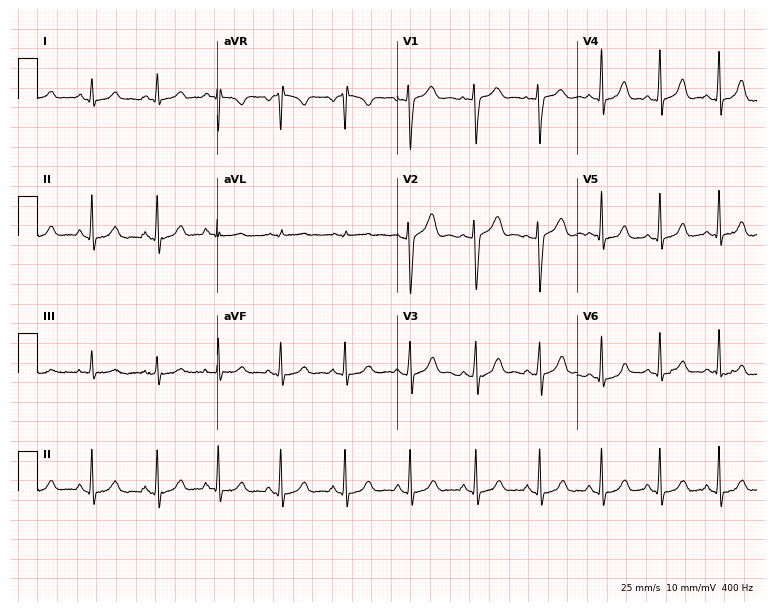
12-lead ECG (7.3-second recording at 400 Hz) from a 17-year-old woman. Labelled as a normal ECG.